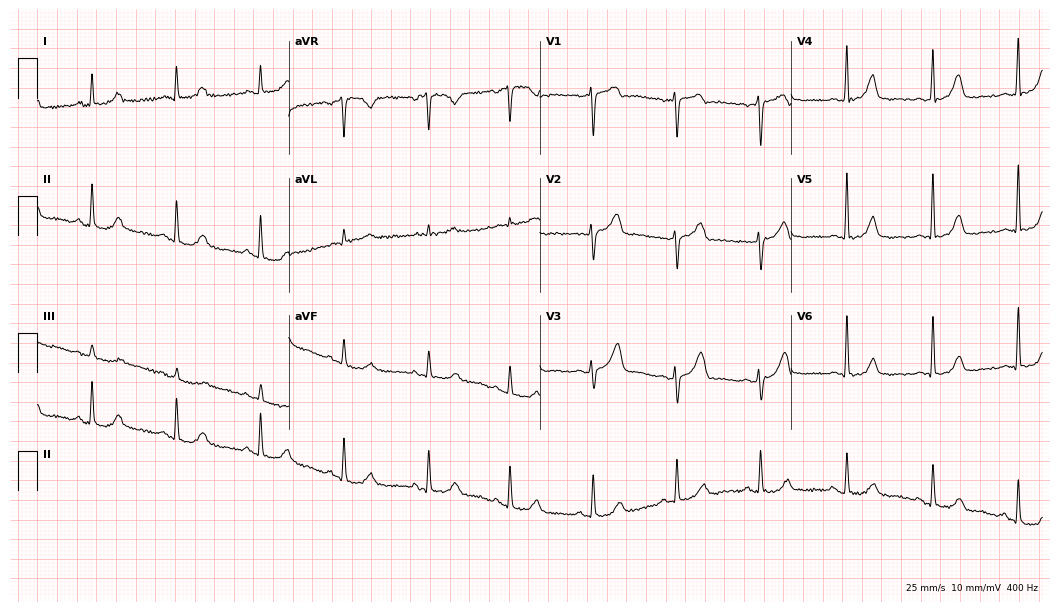
Electrocardiogram (10.2-second recording at 400 Hz), a female patient, 58 years old. Overall reading on record: normal ECG.